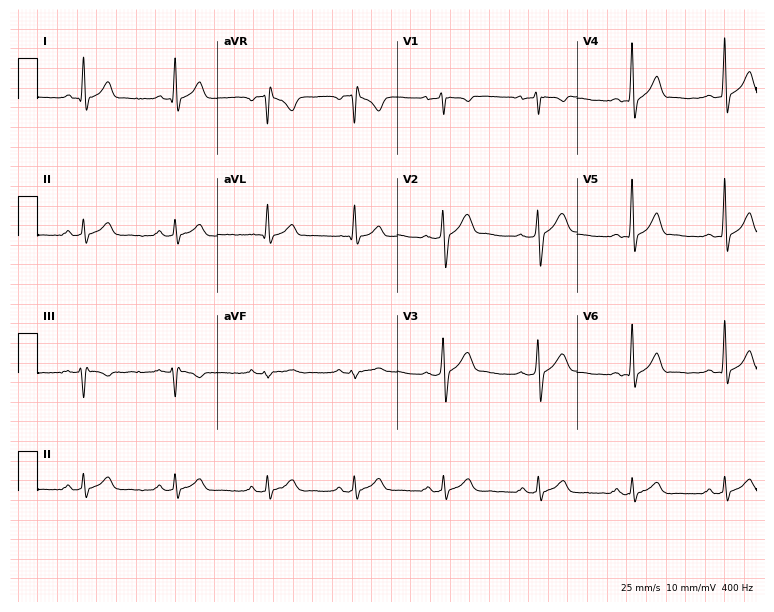
12-lead ECG from a male, 26 years old. Screened for six findings — first-degree AV block, right bundle branch block, left bundle branch block, sinus bradycardia, atrial fibrillation, sinus tachycardia — none is recorded. Only these six findings were labelled.